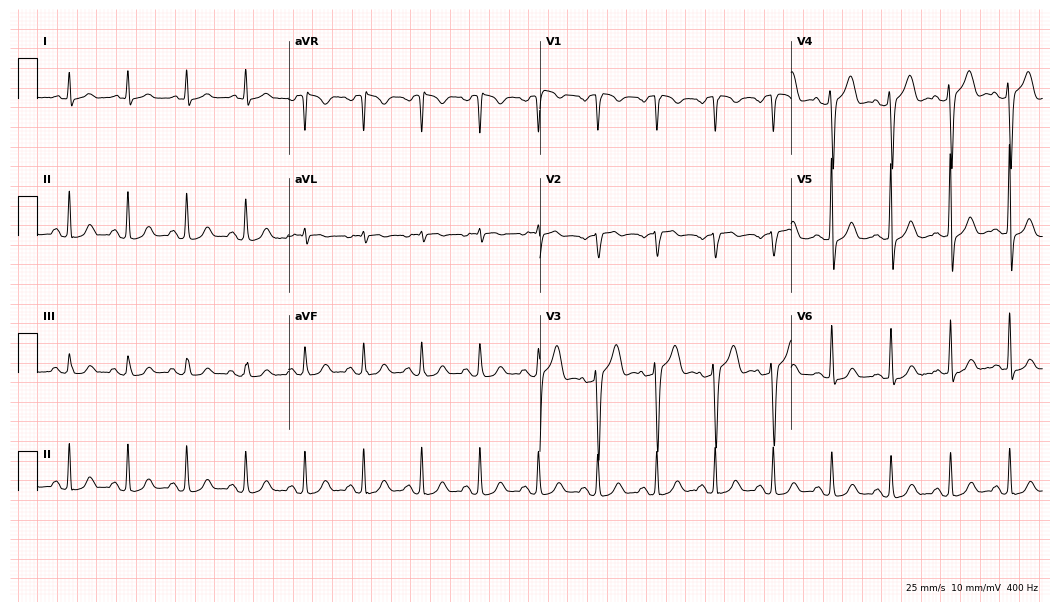
Electrocardiogram (10.2-second recording at 400 Hz), a 51-year-old male. Overall reading on record: normal ECG.